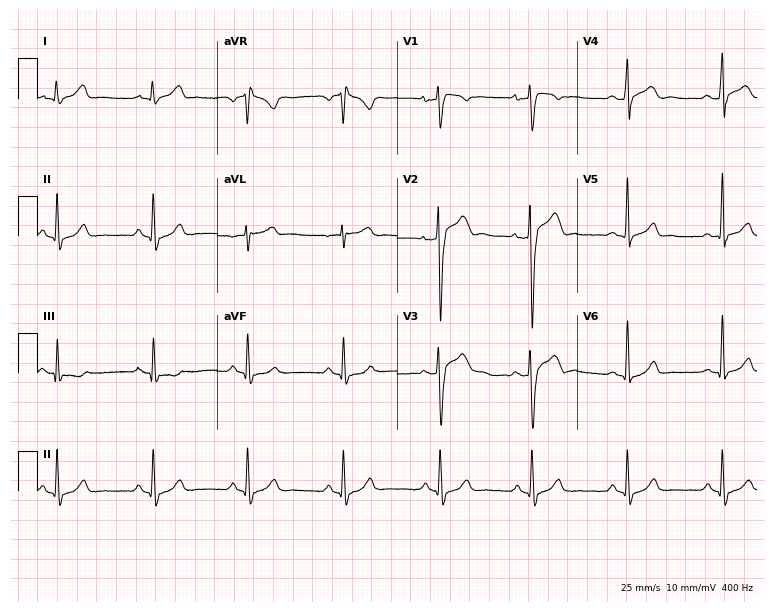
ECG — a 21-year-old male patient. Labelled as a normal ECG.